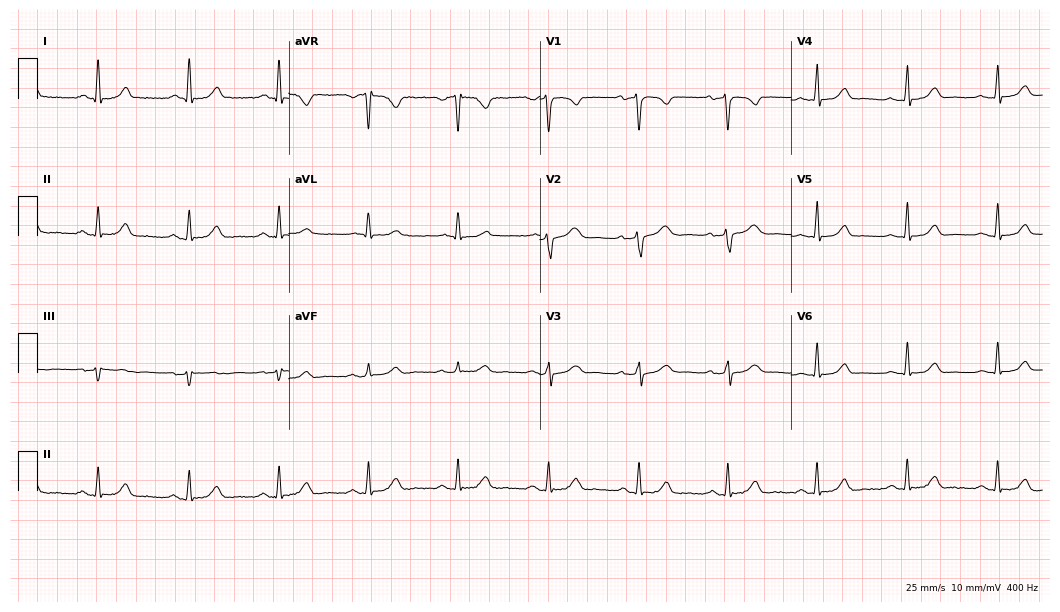
ECG — a 59-year-old female patient. Labelled as a normal ECG.